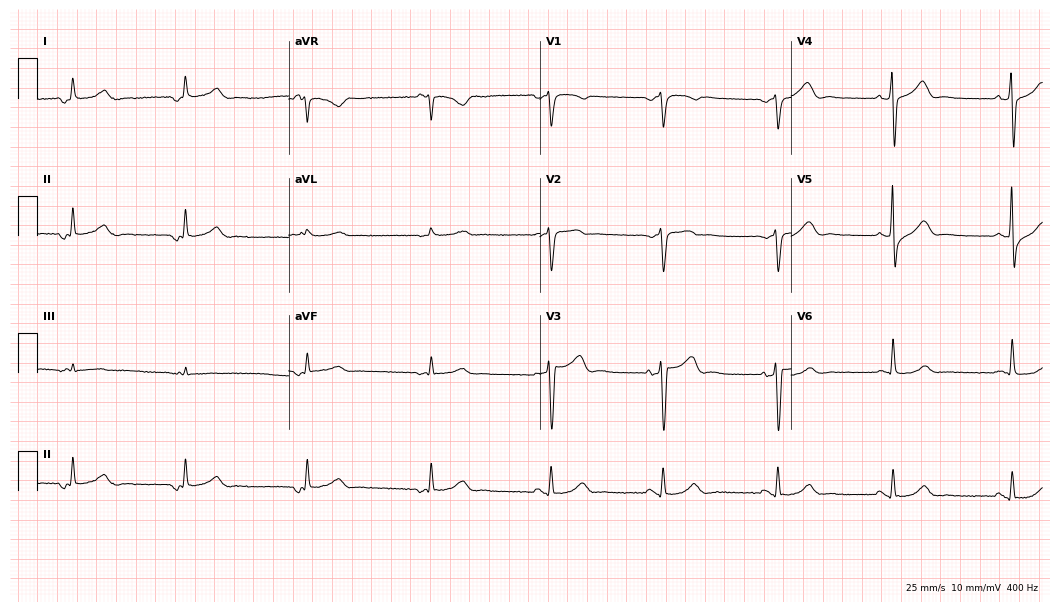
Resting 12-lead electrocardiogram (10.2-second recording at 400 Hz). Patient: a man, 76 years old. None of these six findings is recorded: first-degree AV block, right bundle branch block, left bundle branch block, sinus bradycardia, atrial fibrillation, sinus tachycardia.